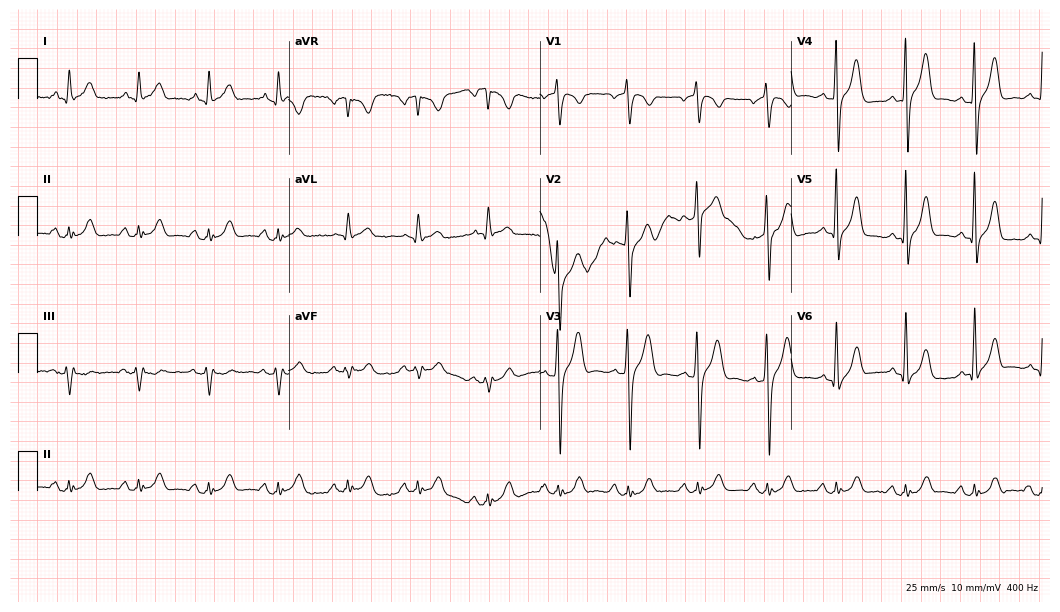
12-lead ECG from a 61-year-old male. No first-degree AV block, right bundle branch block (RBBB), left bundle branch block (LBBB), sinus bradycardia, atrial fibrillation (AF) or sinus tachycardia recorded for this tracing.